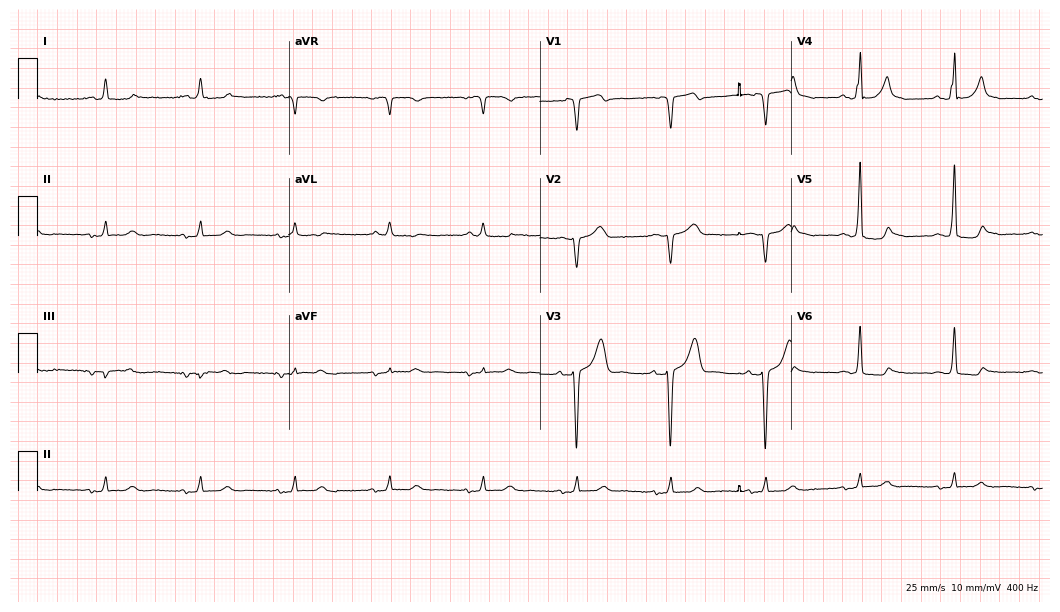
ECG (10.2-second recording at 400 Hz) — an 85-year-old male patient. Screened for six findings — first-degree AV block, right bundle branch block (RBBB), left bundle branch block (LBBB), sinus bradycardia, atrial fibrillation (AF), sinus tachycardia — none is recorded.